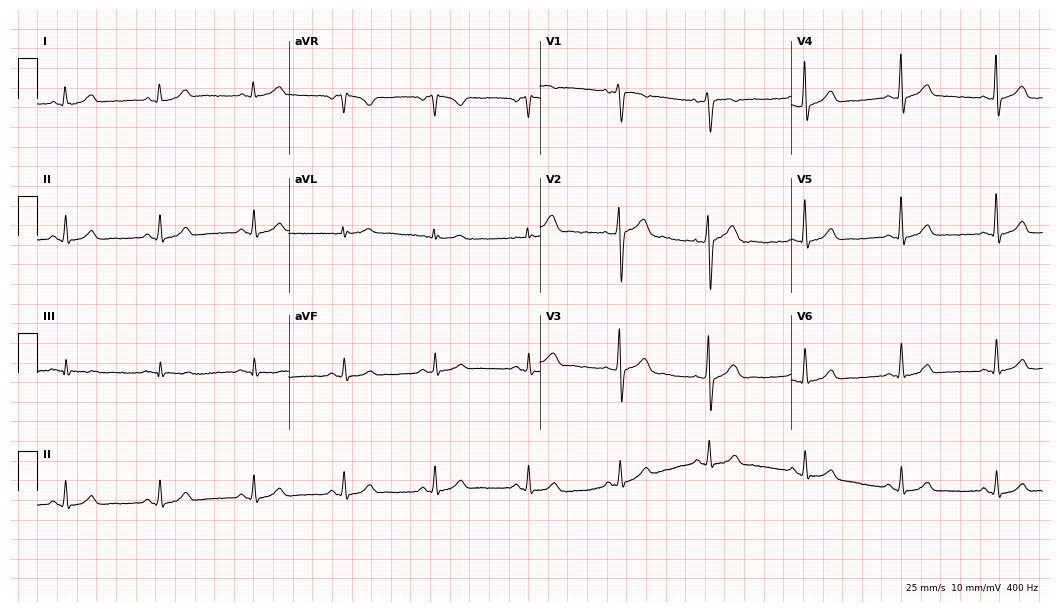
Standard 12-lead ECG recorded from a 34-year-old man (10.2-second recording at 400 Hz). Read as a normal ECG.